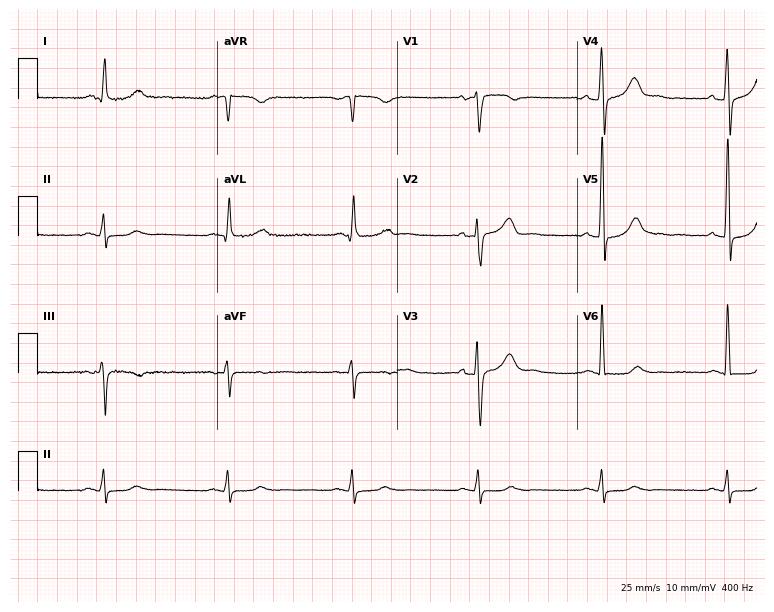
Standard 12-lead ECG recorded from a male, 66 years old (7.3-second recording at 400 Hz). The tracing shows sinus bradycardia (a sinus rate of 50 beats per minute or less).